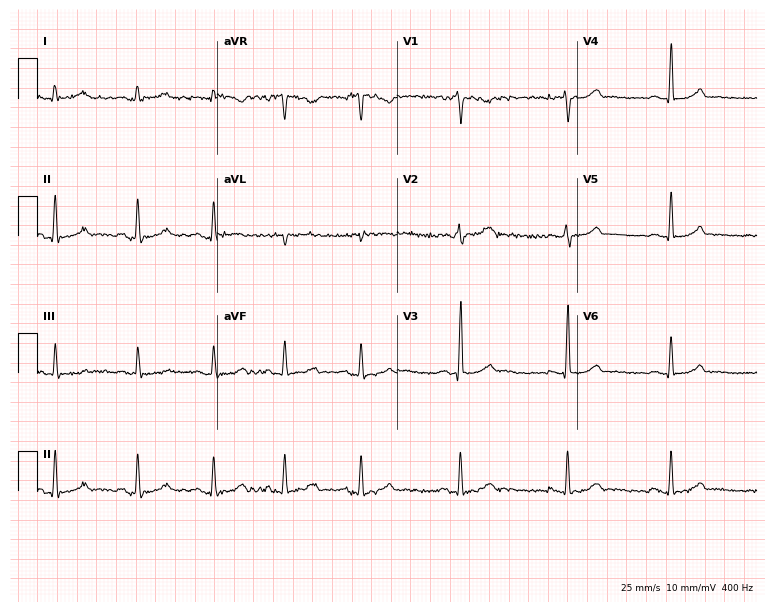
Resting 12-lead electrocardiogram (7.3-second recording at 400 Hz). Patient: a female, 34 years old. None of these six findings is recorded: first-degree AV block, right bundle branch block, left bundle branch block, sinus bradycardia, atrial fibrillation, sinus tachycardia. Findings outside these six are not listed.